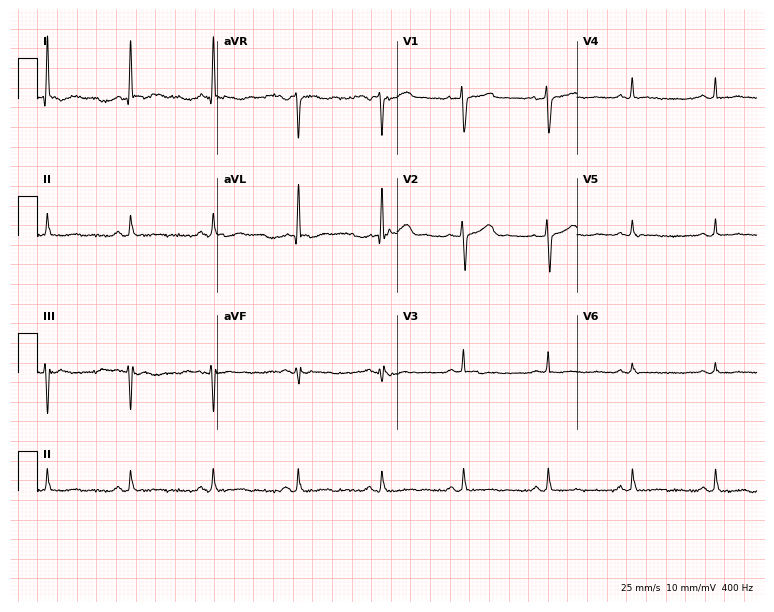
Standard 12-lead ECG recorded from a female, 32 years old (7.3-second recording at 400 Hz). None of these six findings is recorded: first-degree AV block, right bundle branch block, left bundle branch block, sinus bradycardia, atrial fibrillation, sinus tachycardia. Findings outside these six are not listed.